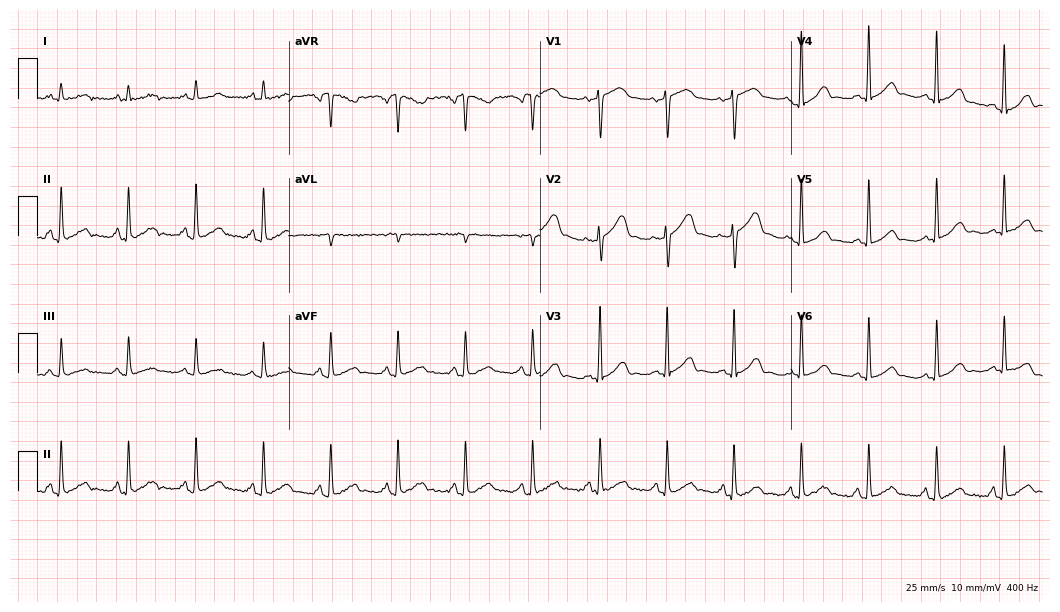
Standard 12-lead ECG recorded from a 59-year-old male. None of these six findings is recorded: first-degree AV block, right bundle branch block, left bundle branch block, sinus bradycardia, atrial fibrillation, sinus tachycardia.